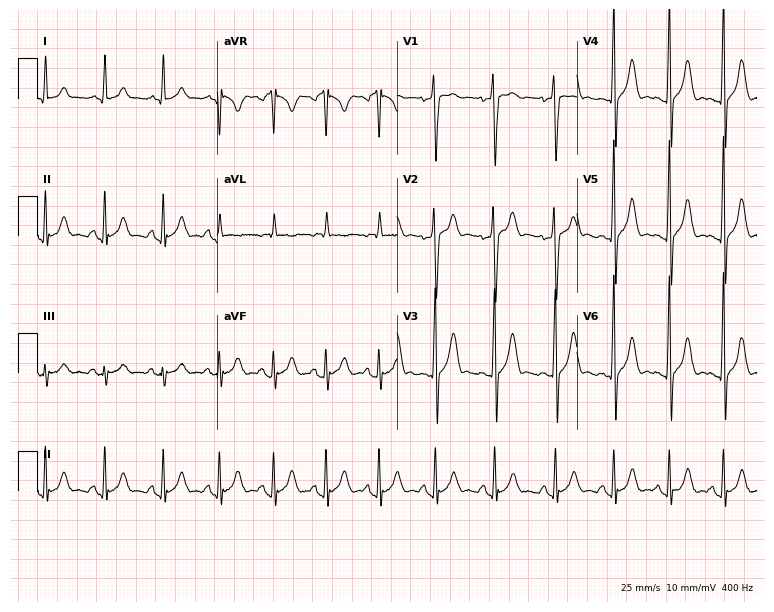
Standard 12-lead ECG recorded from a 21-year-old male patient. The tracing shows sinus tachycardia (a sinus rate of 100 beats per minute or more).